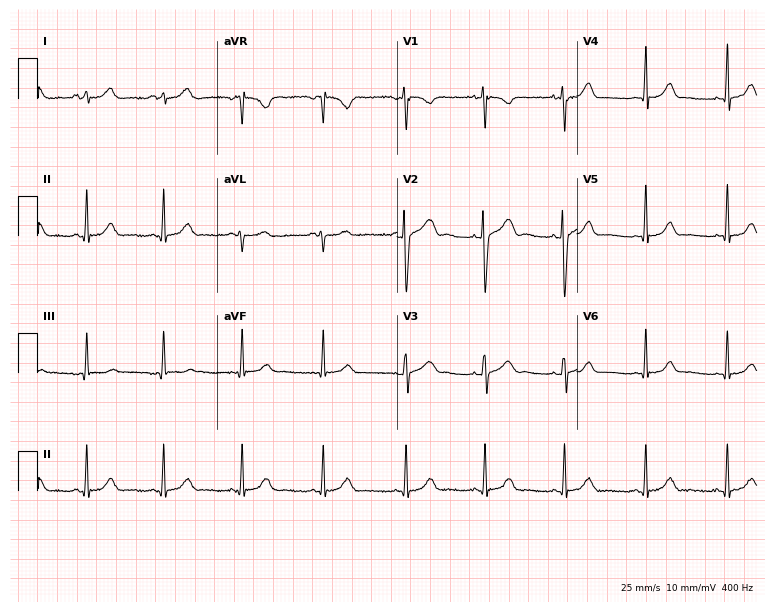
Standard 12-lead ECG recorded from a 24-year-old woman. Read as a normal ECG.